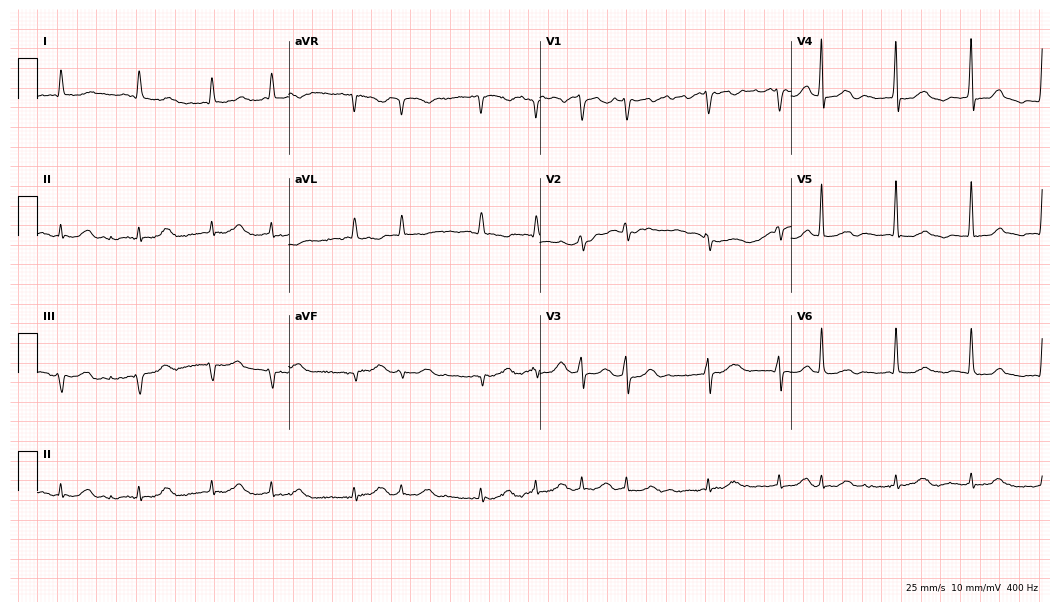
12-lead ECG from a female, 76 years old. Findings include atrial fibrillation.